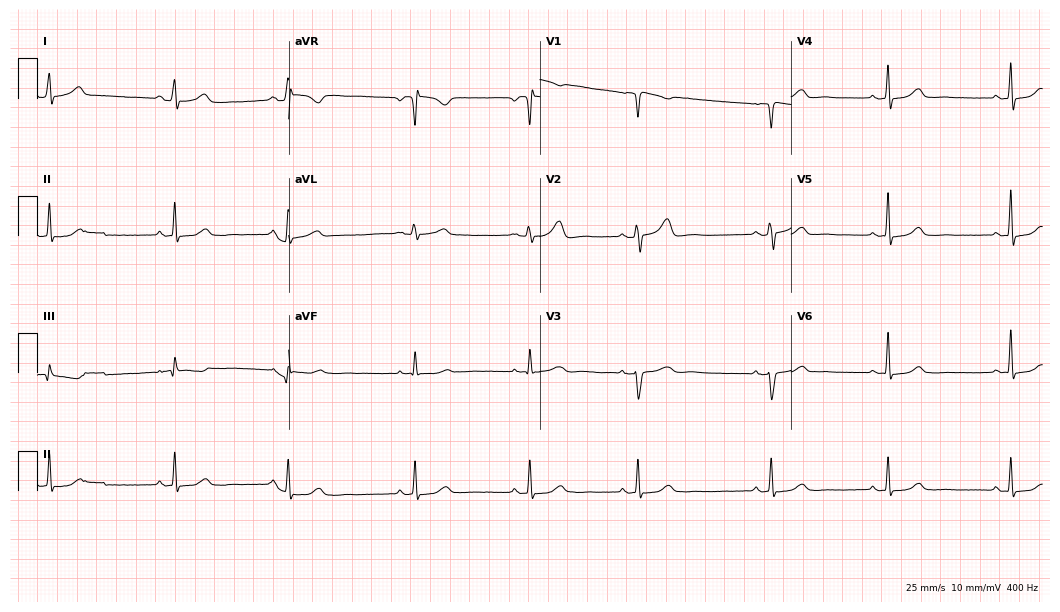
Standard 12-lead ECG recorded from a woman, 48 years old. The tracing shows sinus bradycardia (a sinus rate of 50 beats per minute or less).